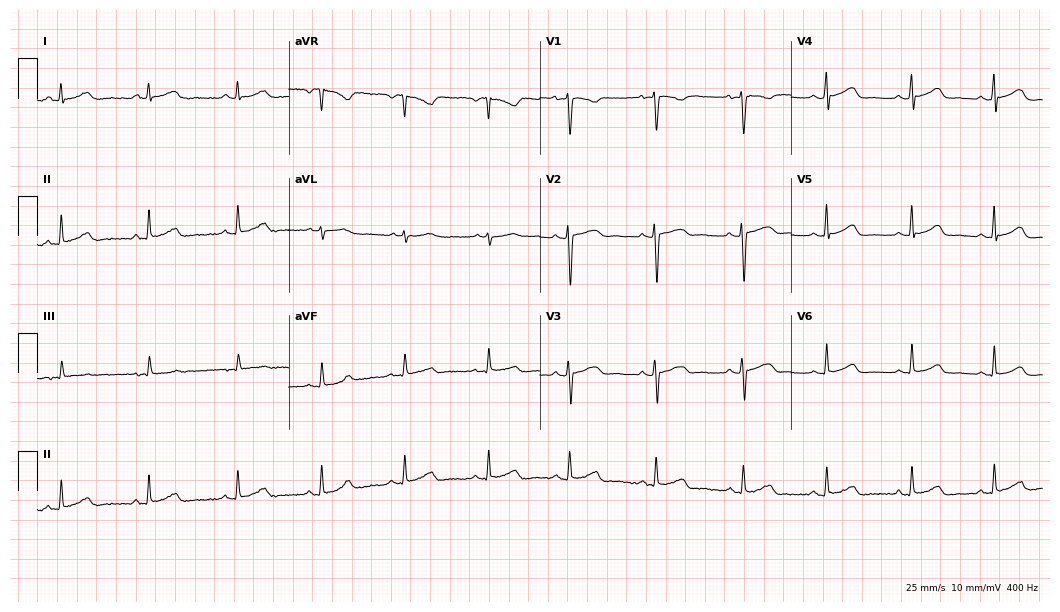
ECG (10.2-second recording at 400 Hz) — a female patient, 30 years old. Screened for six findings — first-degree AV block, right bundle branch block, left bundle branch block, sinus bradycardia, atrial fibrillation, sinus tachycardia — none is recorded. Findings outside these six are not listed.